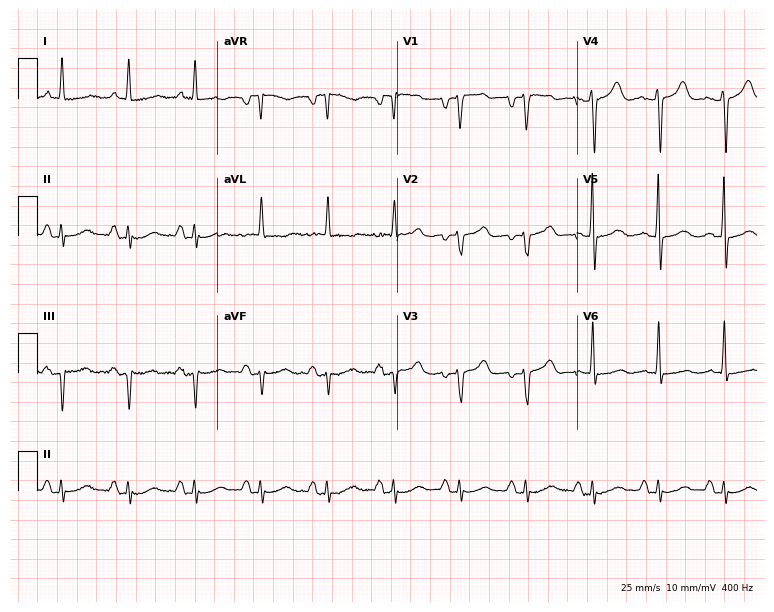
Resting 12-lead electrocardiogram. Patient: a female, 83 years old. None of these six findings is recorded: first-degree AV block, right bundle branch block, left bundle branch block, sinus bradycardia, atrial fibrillation, sinus tachycardia.